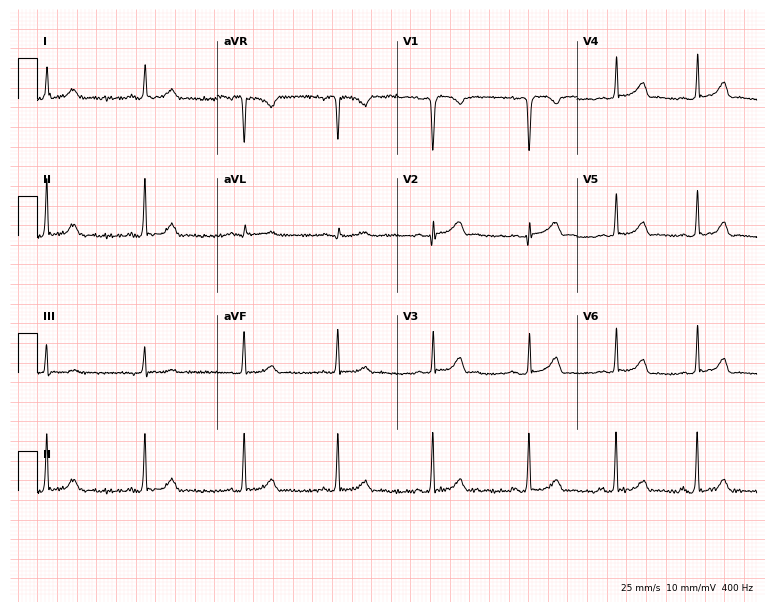
Standard 12-lead ECG recorded from a female patient, 22 years old. Read as a normal ECG.